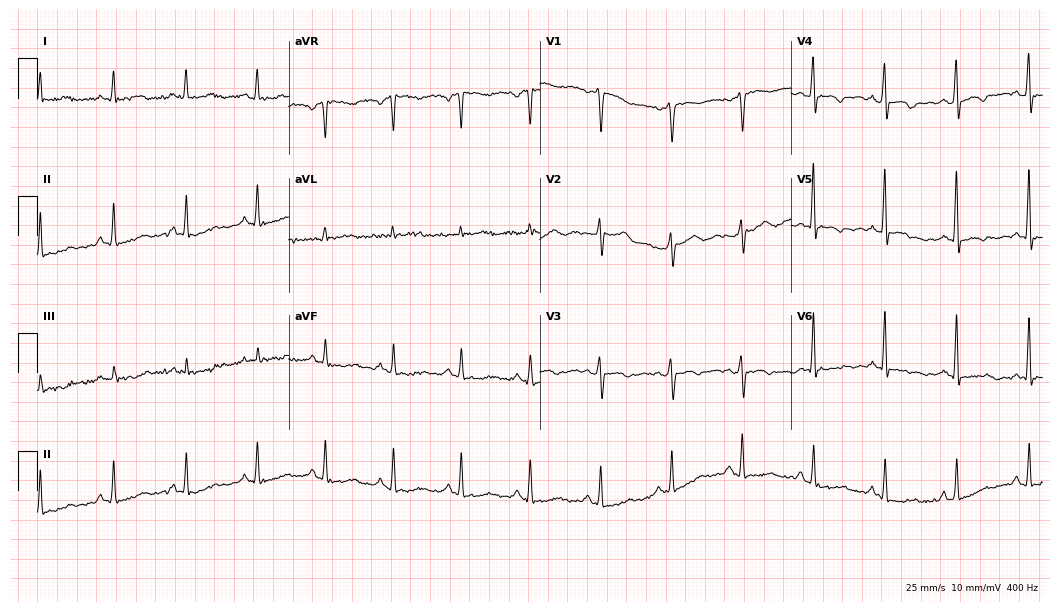
12-lead ECG (10.2-second recording at 400 Hz) from a 37-year-old female patient. Screened for six findings — first-degree AV block, right bundle branch block (RBBB), left bundle branch block (LBBB), sinus bradycardia, atrial fibrillation (AF), sinus tachycardia — none is recorded. Findings outside these six are not listed.